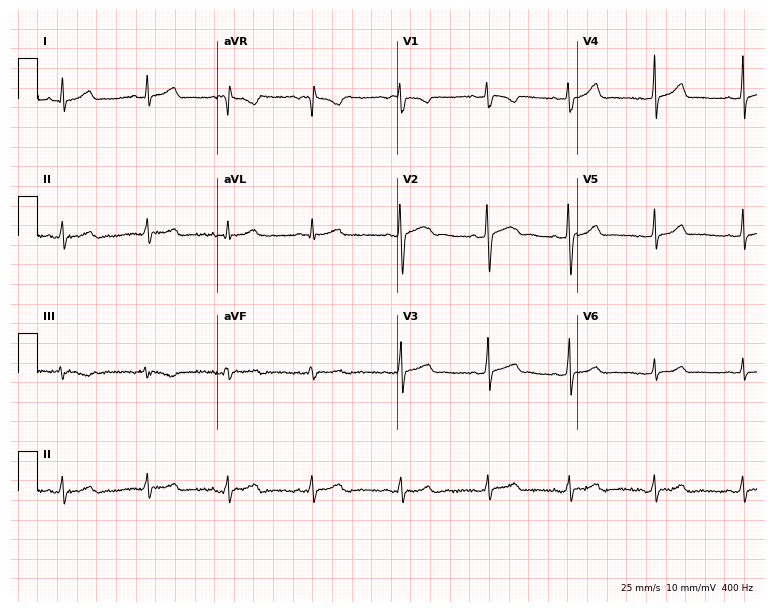
12-lead ECG from a 24-year-old woman. Labelled as a normal ECG.